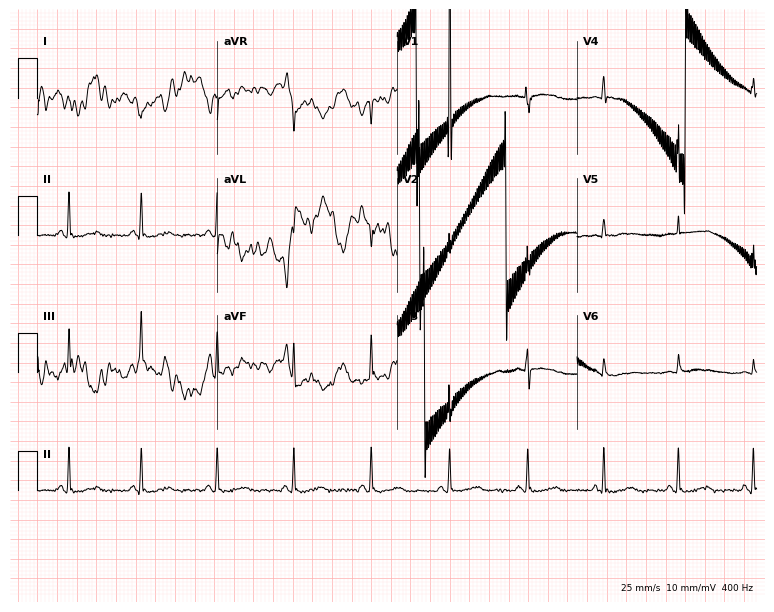
Electrocardiogram, a 47-year-old female. Of the six screened findings (first-degree AV block, right bundle branch block, left bundle branch block, sinus bradycardia, atrial fibrillation, sinus tachycardia), none is recorded.